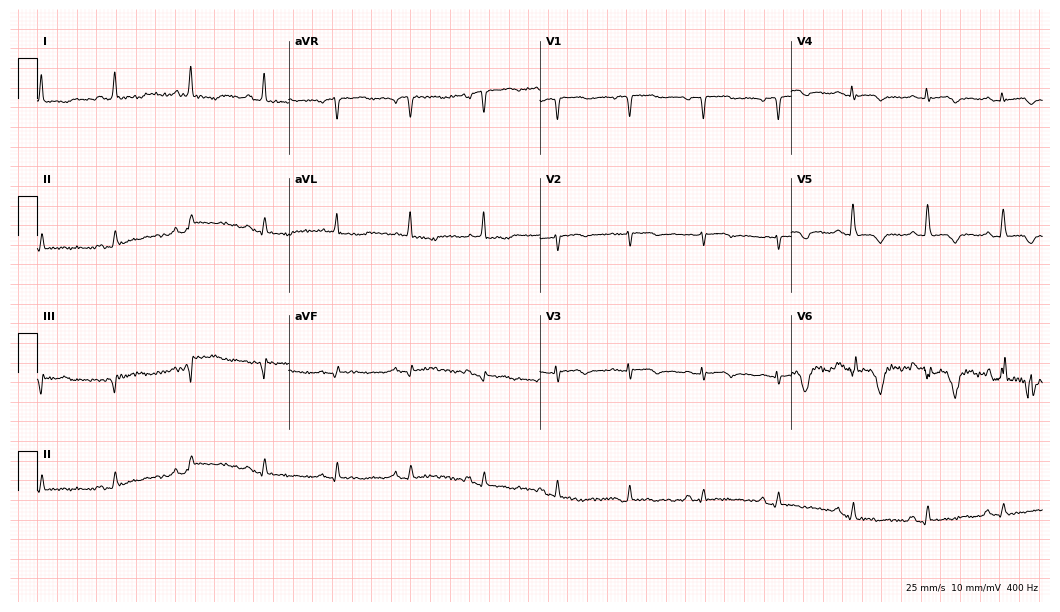
Electrocardiogram, a 67-year-old female. Of the six screened findings (first-degree AV block, right bundle branch block (RBBB), left bundle branch block (LBBB), sinus bradycardia, atrial fibrillation (AF), sinus tachycardia), none is recorded.